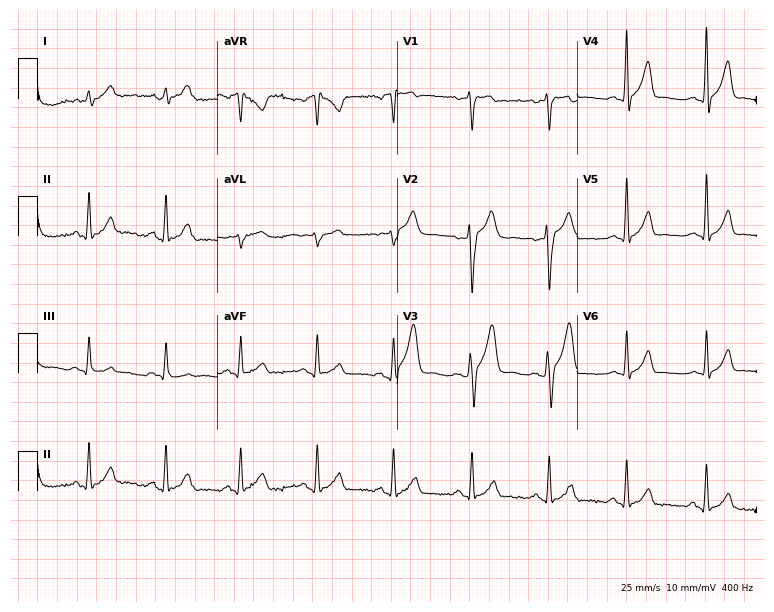
12-lead ECG from a 22-year-old man. No first-degree AV block, right bundle branch block, left bundle branch block, sinus bradycardia, atrial fibrillation or sinus tachycardia recorded for this tracing.